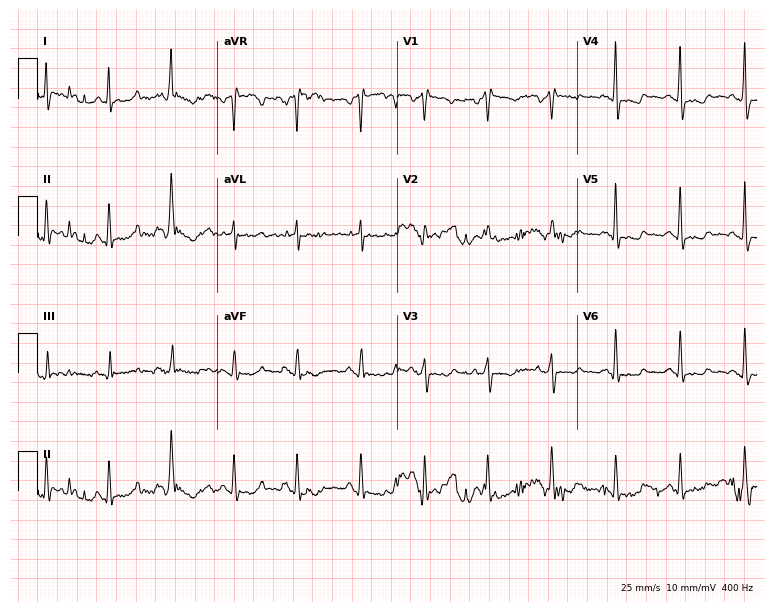
Standard 12-lead ECG recorded from a female patient, 55 years old. None of these six findings is recorded: first-degree AV block, right bundle branch block, left bundle branch block, sinus bradycardia, atrial fibrillation, sinus tachycardia. Findings outside these six are not listed.